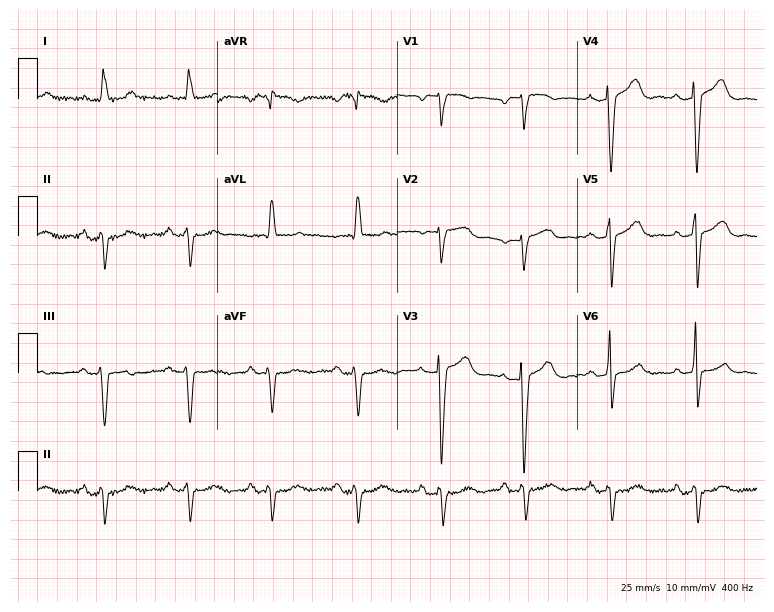
Standard 12-lead ECG recorded from an 83-year-old female patient. None of these six findings is recorded: first-degree AV block, right bundle branch block (RBBB), left bundle branch block (LBBB), sinus bradycardia, atrial fibrillation (AF), sinus tachycardia.